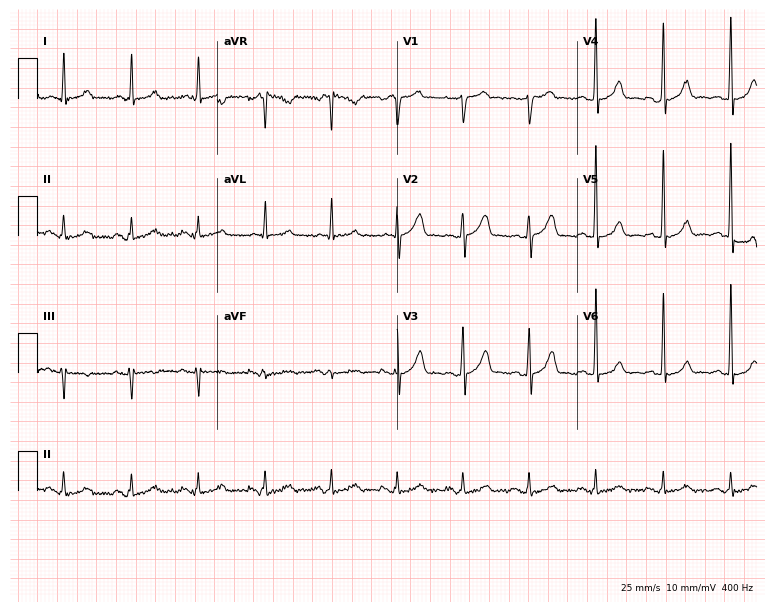
ECG — a 62-year-old man. Labelled as a normal ECG.